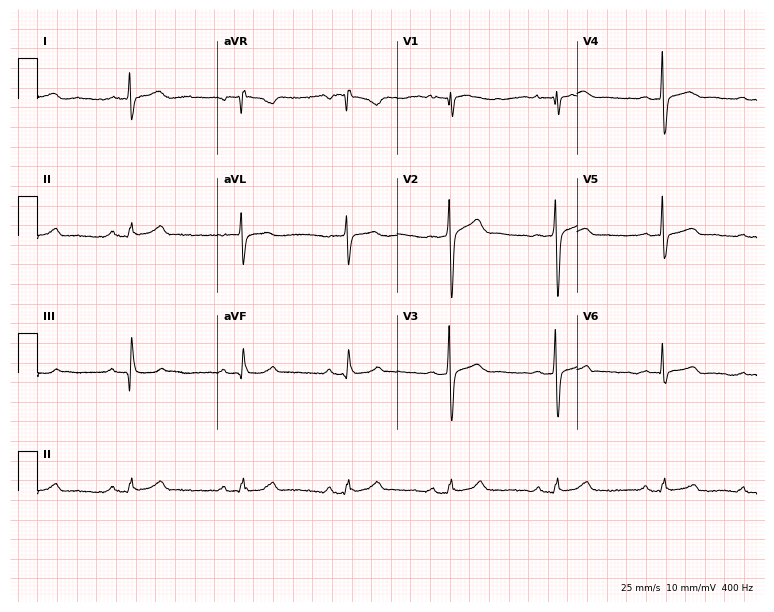
Resting 12-lead electrocardiogram. Patient: a male, 44 years old. None of these six findings is recorded: first-degree AV block, right bundle branch block, left bundle branch block, sinus bradycardia, atrial fibrillation, sinus tachycardia. Only these six findings were labelled.